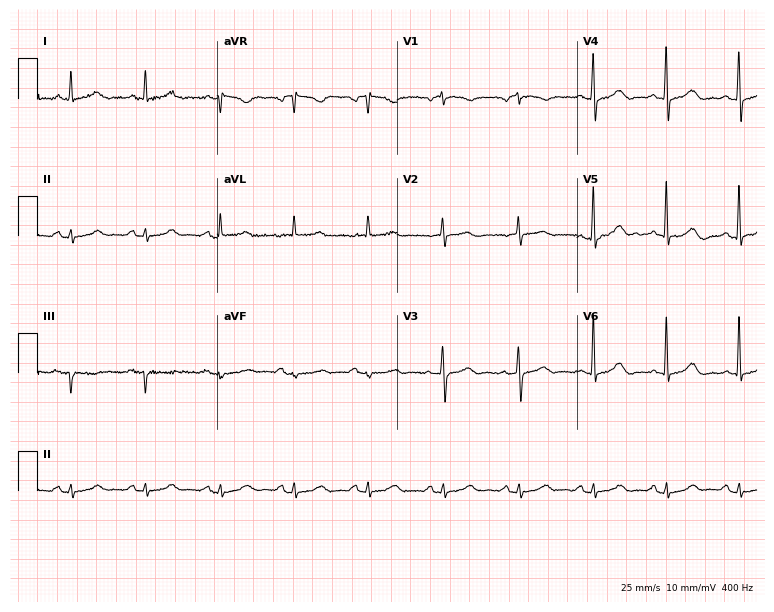
Electrocardiogram (7.3-second recording at 400 Hz), a 79-year-old woman. Of the six screened findings (first-degree AV block, right bundle branch block (RBBB), left bundle branch block (LBBB), sinus bradycardia, atrial fibrillation (AF), sinus tachycardia), none is recorded. Findings outside these six are not listed.